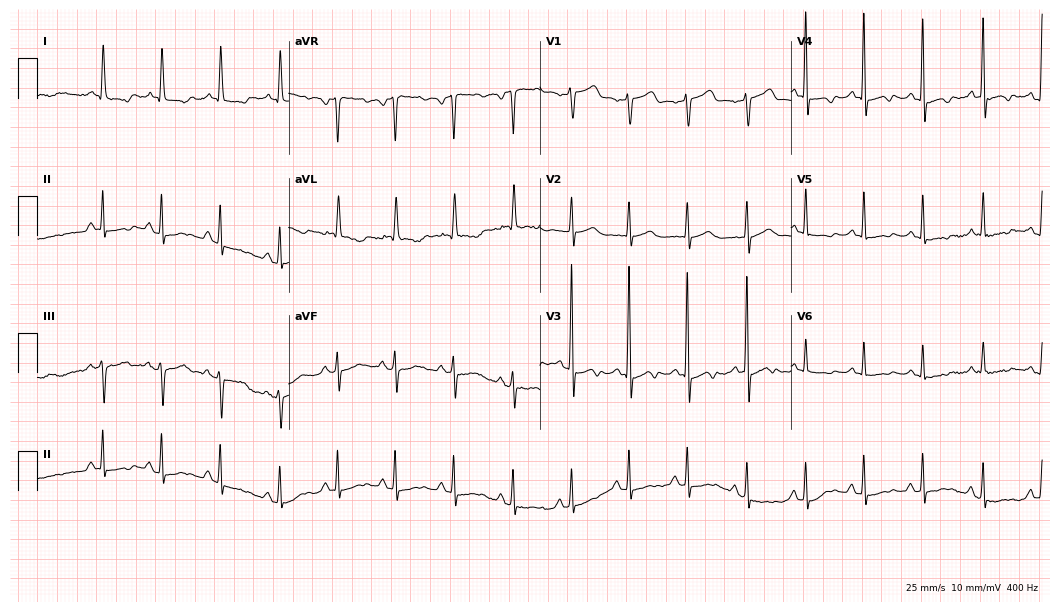
Standard 12-lead ECG recorded from a 76-year-old female patient (10.2-second recording at 400 Hz). None of these six findings is recorded: first-degree AV block, right bundle branch block, left bundle branch block, sinus bradycardia, atrial fibrillation, sinus tachycardia.